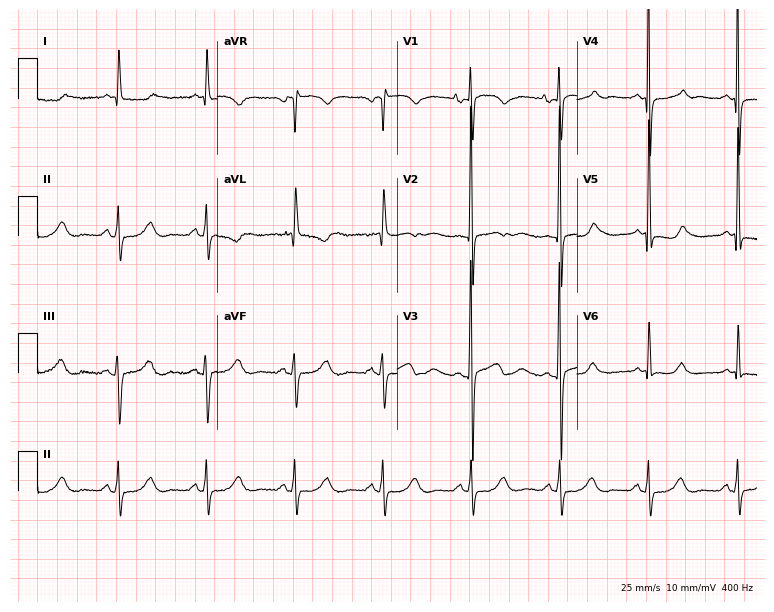
Standard 12-lead ECG recorded from a woman, 83 years old. None of these six findings is recorded: first-degree AV block, right bundle branch block, left bundle branch block, sinus bradycardia, atrial fibrillation, sinus tachycardia. Only these six findings were labelled.